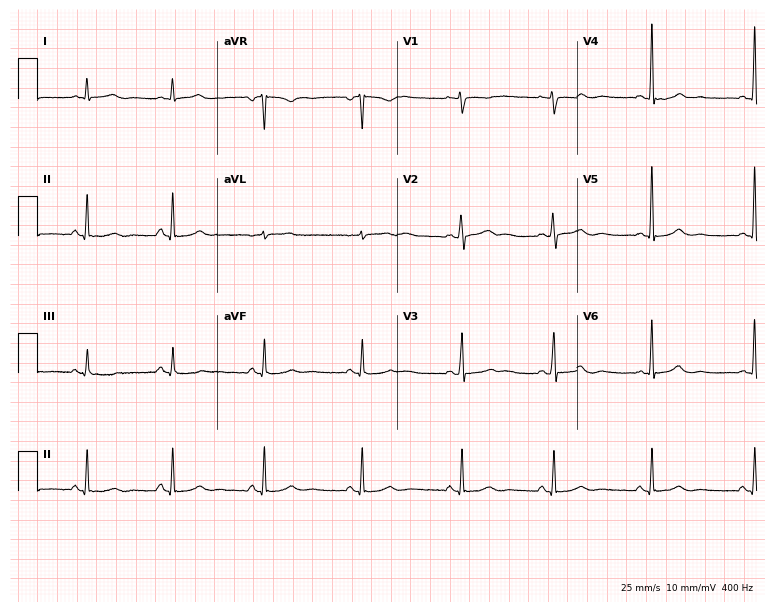
12-lead ECG from a female, 42 years old. Recorded interpretation: within normal limits.